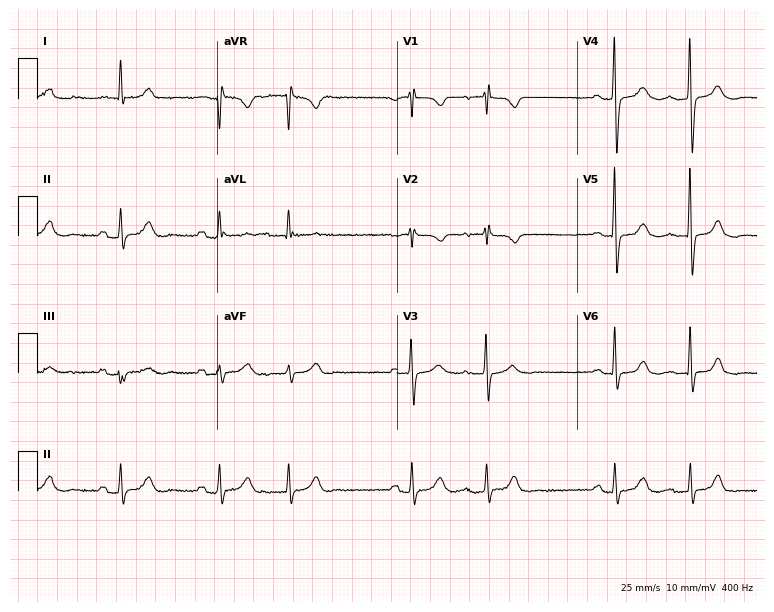
Electrocardiogram, a 73-year-old female. Of the six screened findings (first-degree AV block, right bundle branch block (RBBB), left bundle branch block (LBBB), sinus bradycardia, atrial fibrillation (AF), sinus tachycardia), none is recorded.